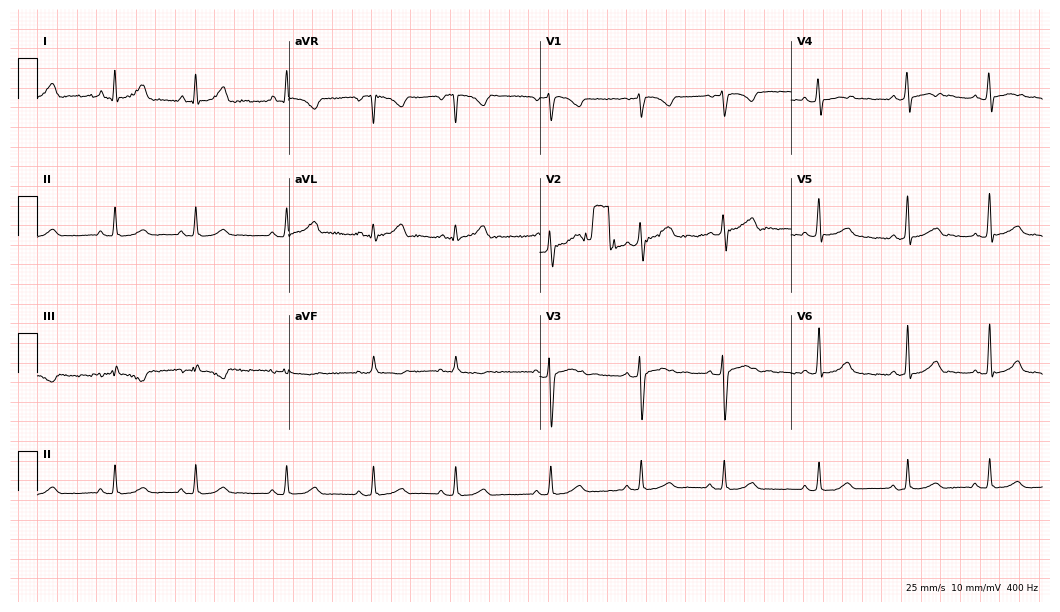
Standard 12-lead ECG recorded from a 21-year-old woman. Read as a normal ECG.